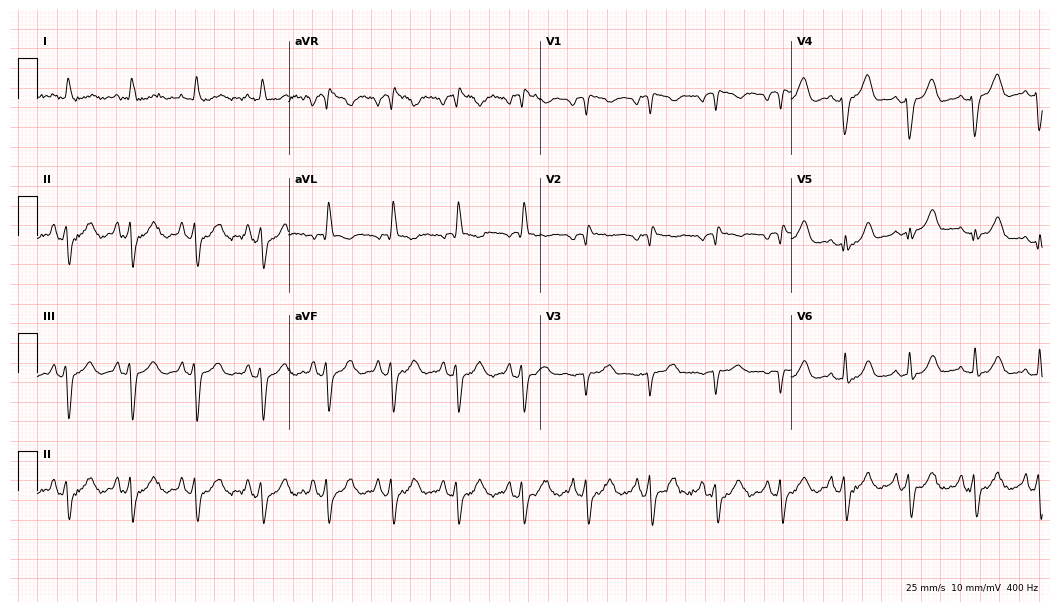
Standard 12-lead ECG recorded from a 75-year-old woman. The tracing shows right bundle branch block.